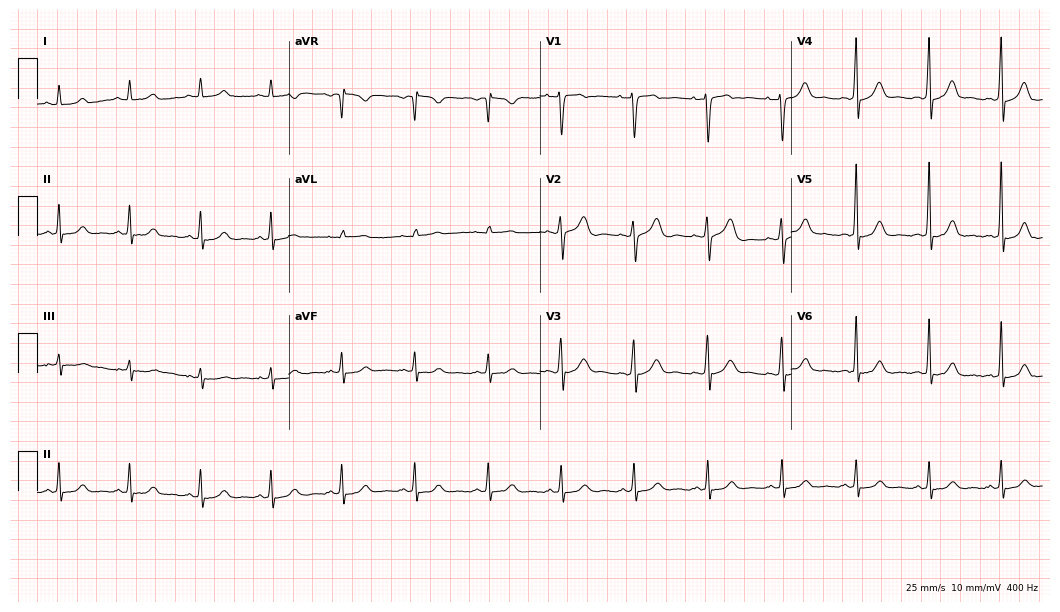
12-lead ECG (10.2-second recording at 400 Hz) from a female patient, 37 years old. Labelled as a normal ECG.